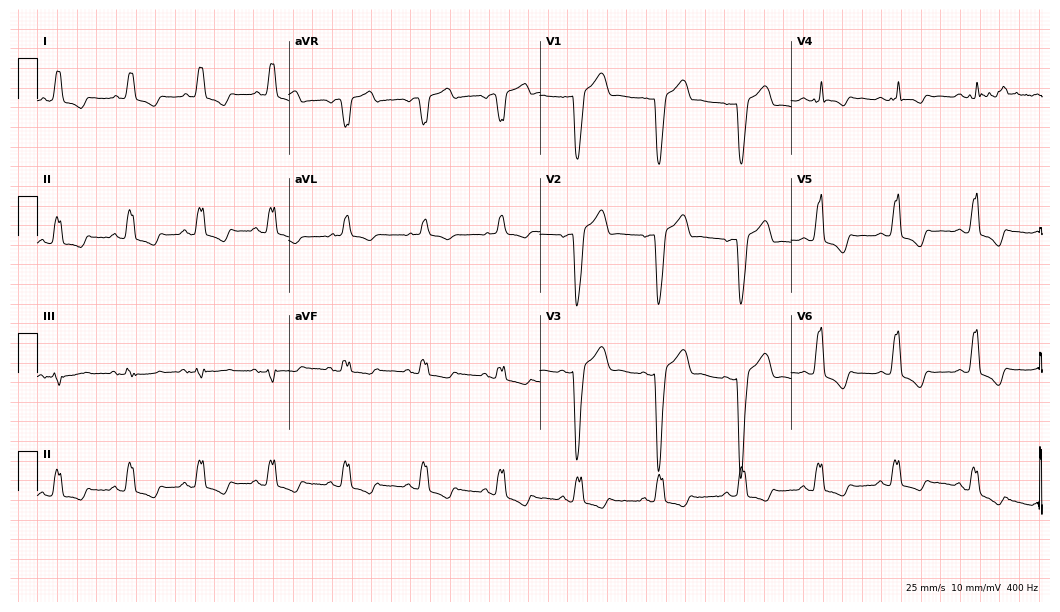
ECG — a man, 65 years old. Findings include left bundle branch block (LBBB).